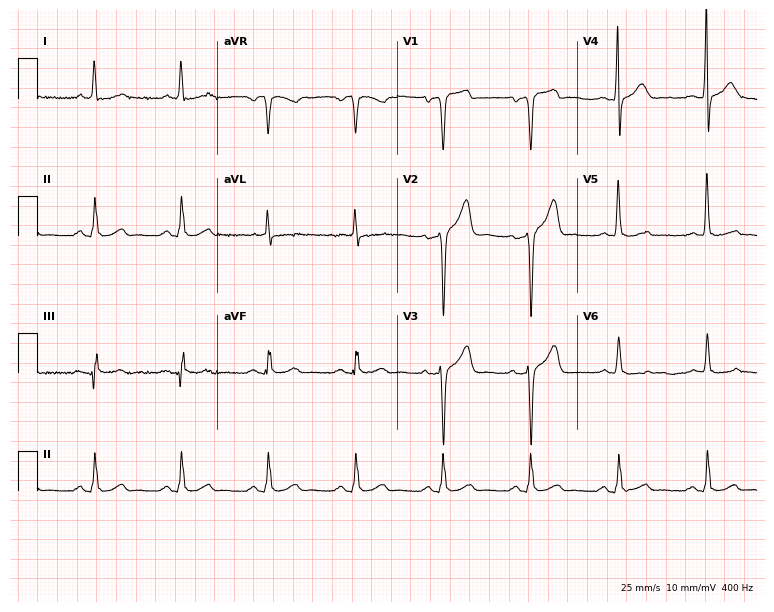
Standard 12-lead ECG recorded from a 62-year-old man (7.3-second recording at 400 Hz). Read as a normal ECG.